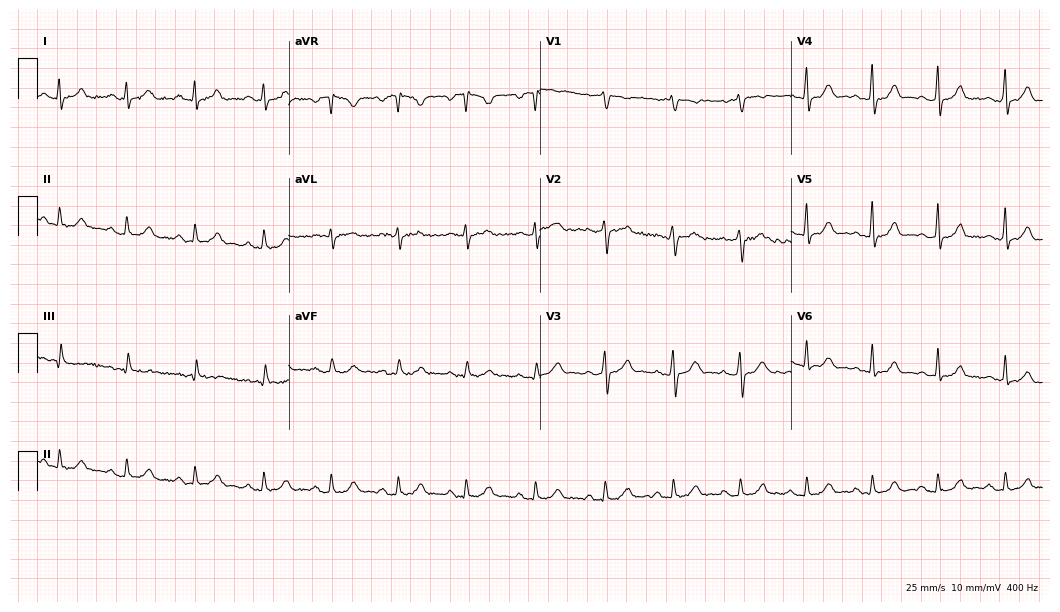
12-lead ECG (10.2-second recording at 400 Hz) from a woman, 28 years old. Labelled as a normal ECG.